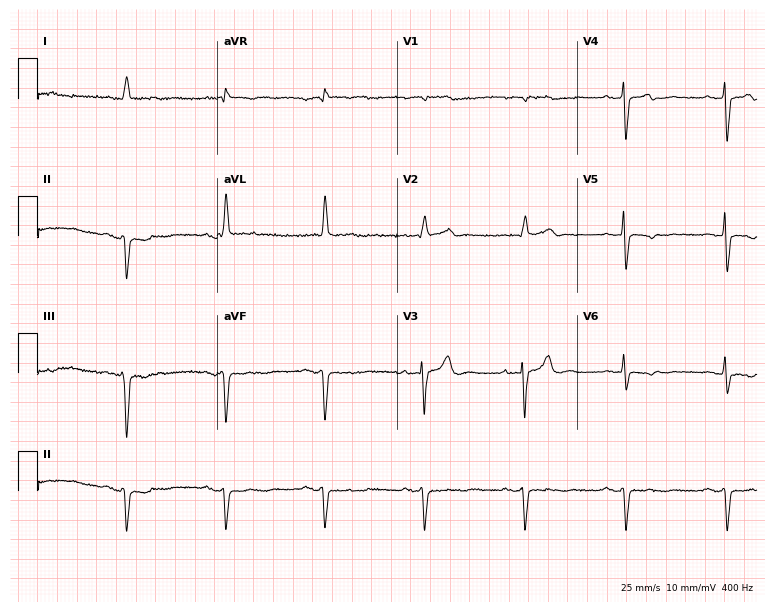
12-lead ECG (7.3-second recording at 400 Hz) from a man, 79 years old. Screened for six findings — first-degree AV block, right bundle branch block, left bundle branch block, sinus bradycardia, atrial fibrillation, sinus tachycardia — none is recorded.